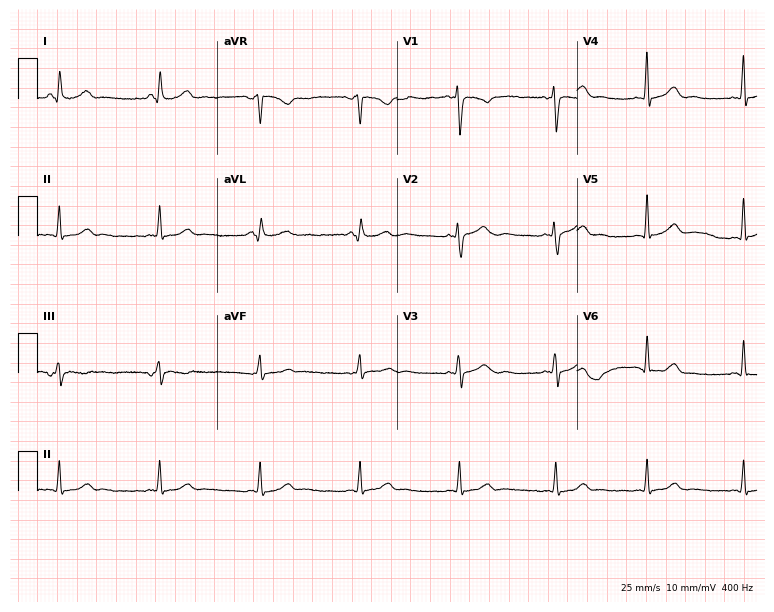
Electrocardiogram (7.3-second recording at 400 Hz), a 45-year-old female. Of the six screened findings (first-degree AV block, right bundle branch block, left bundle branch block, sinus bradycardia, atrial fibrillation, sinus tachycardia), none is recorded.